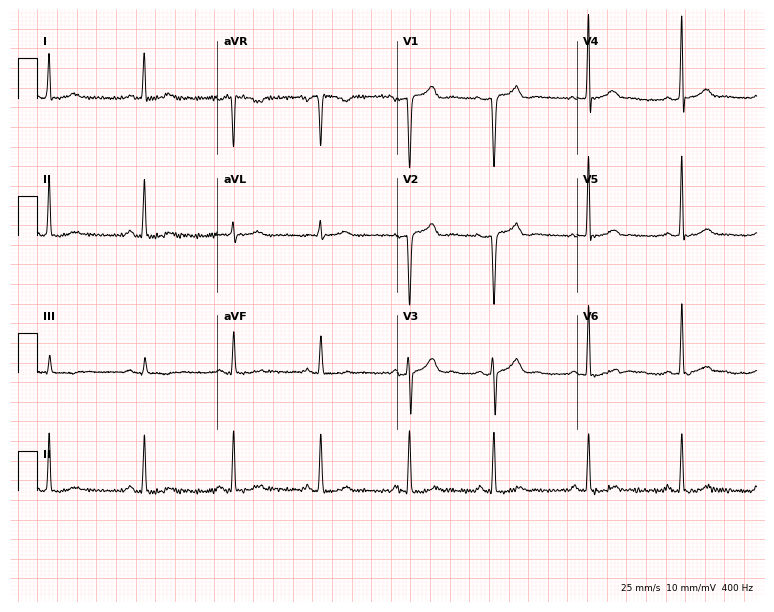
Standard 12-lead ECG recorded from a female, 21 years old. Read as a normal ECG.